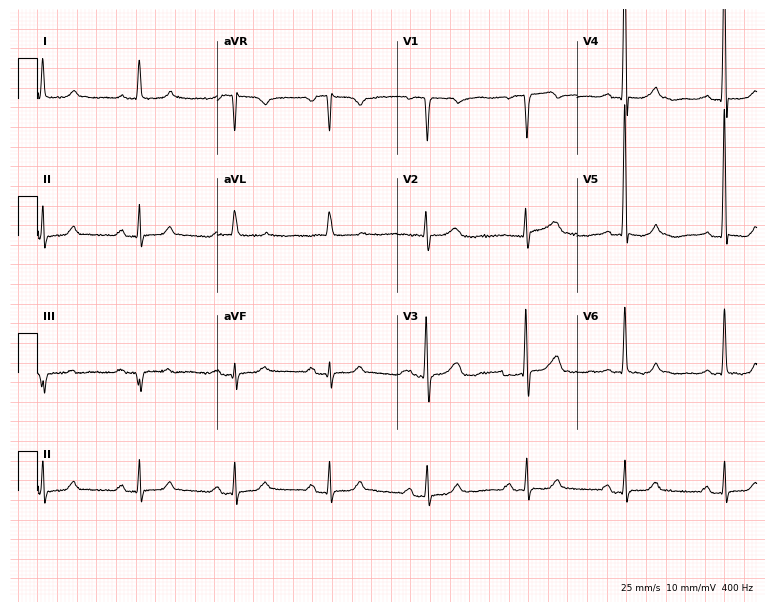
ECG (7.3-second recording at 400 Hz) — a man, 61 years old. Screened for six findings — first-degree AV block, right bundle branch block (RBBB), left bundle branch block (LBBB), sinus bradycardia, atrial fibrillation (AF), sinus tachycardia — none is recorded. Findings outside these six are not listed.